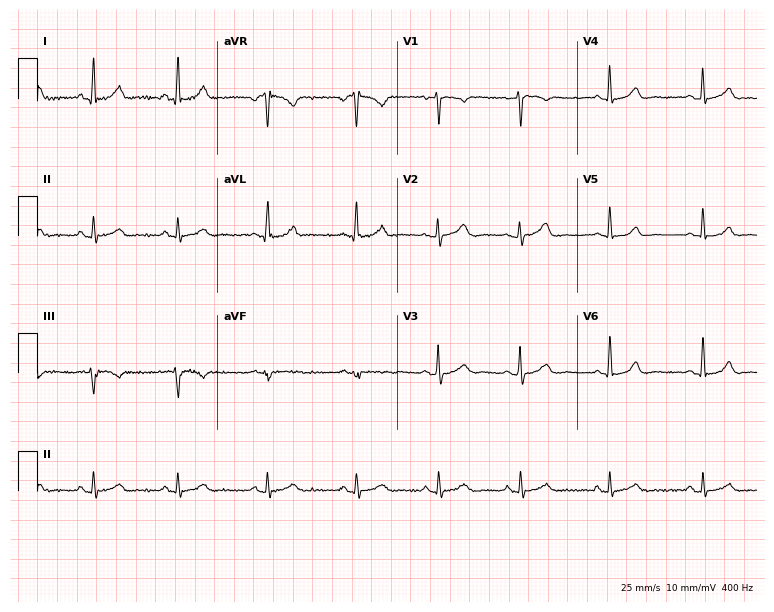
Standard 12-lead ECG recorded from a female, 33 years old. Read as a normal ECG.